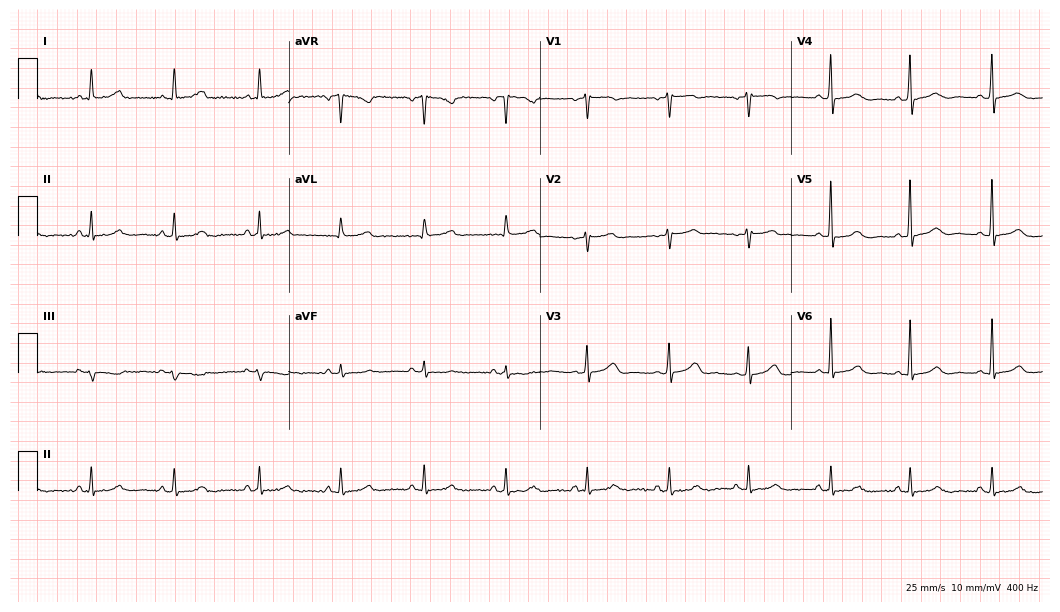
Standard 12-lead ECG recorded from a 60-year-old female (10.2-second recording at 400 Hz). Read as a normal ECG.